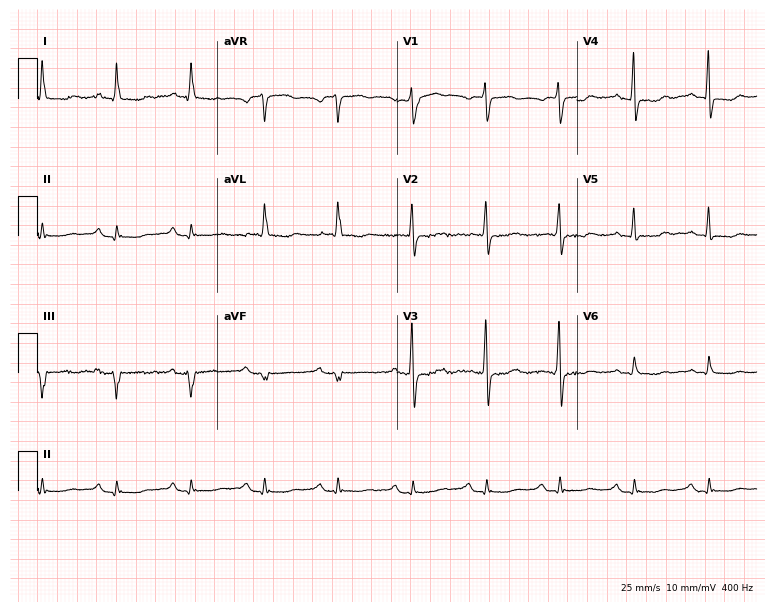
ECG (7.3-second recording at 400 Hz) — a female, 73 years old. Screened for six findings — first-degree AV block, right bundle branch block, left bundle branch block, sinus bradycardia, atrial fibrillation, sinus tachycardia — none is recorded. Other findings, if any, are not listed.